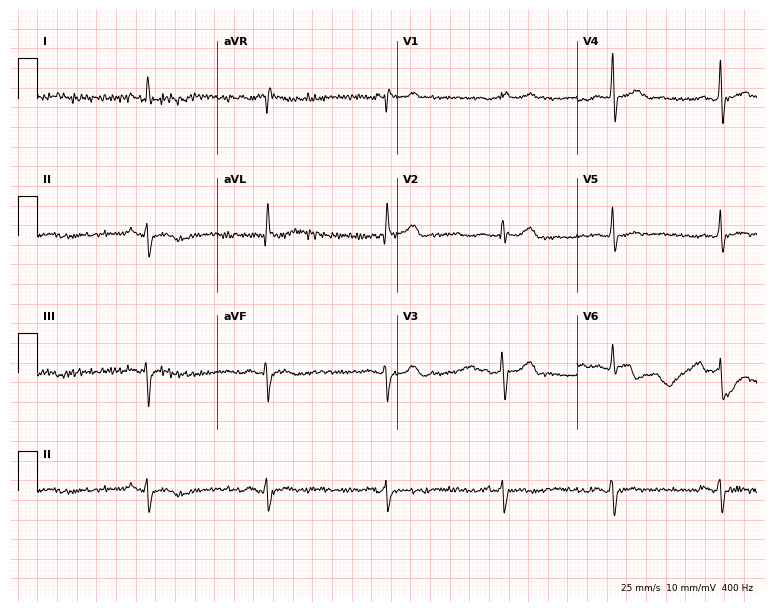
Standard 12-lead ECG recorded from a man, 66 years old (7.3-second recording at 400 Hz). None of these six findings is recorded: first-degree AV block, right bundle branch block, left bundle branch block, sinus bradycardia, atrial fibrillation, sinus tachycardia. Findings outside these six are not listed.